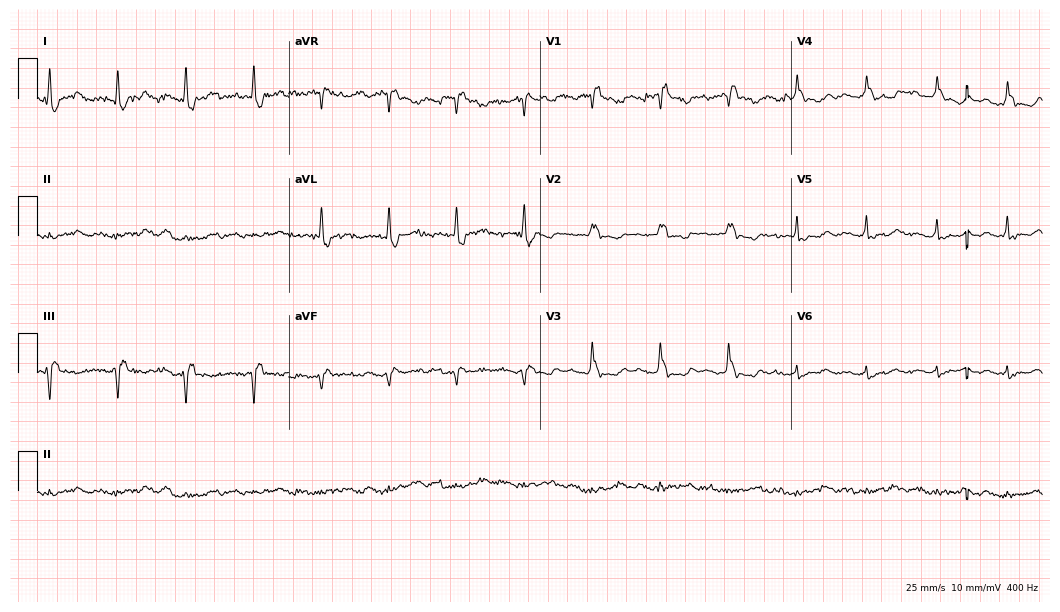
Resting 12-lead electrocardiogram (10.2-second recording at 400 Hz). Patient: a male, 85 years old. None of these six findings is recorded: first-degree AV block, right bundle branch block, left bundle branch block, sinus bradycardia, atrial fibrillation, sinus tachycardia. Only these six findings were labelled.